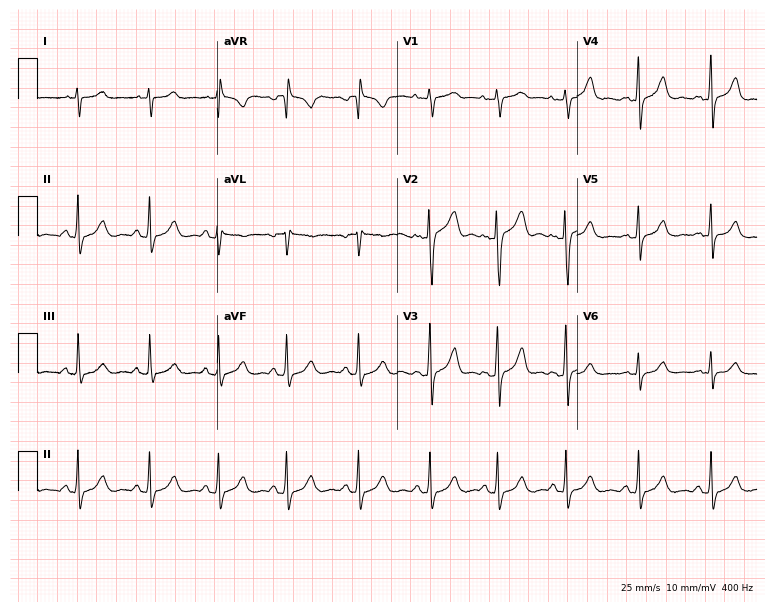
ECG (7.3-second recording at 400 Hz) — a male, 19 years old. Labelled as a normal ECG.